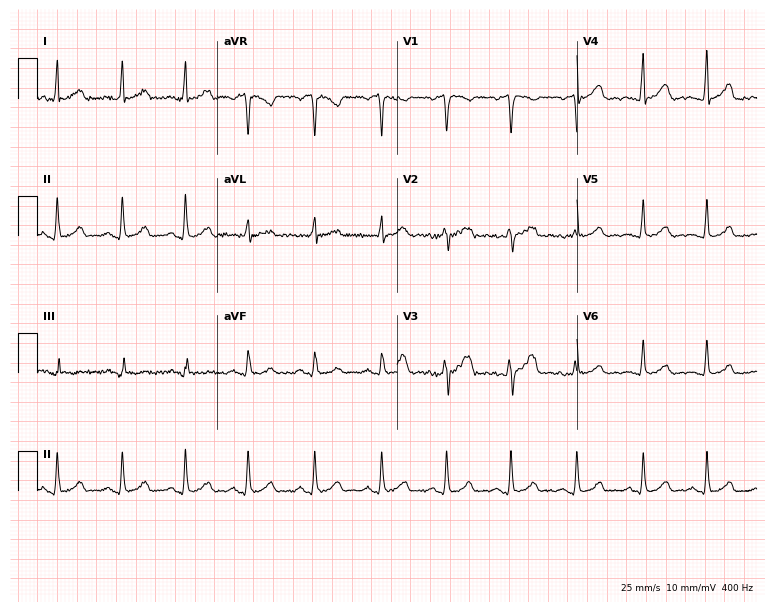
Standard 12-lead ECG recorded from a woman, 28 years old (7.3-second recording at 400 Hz). None of these six findings is recorded: first-degree AV block, right bundle branch block (RBBB), left bundle branch block (LBBB), sinus bradycardia, atrial fibrillation (AF), sinus tachycardia. Findings outside these six are not listed.